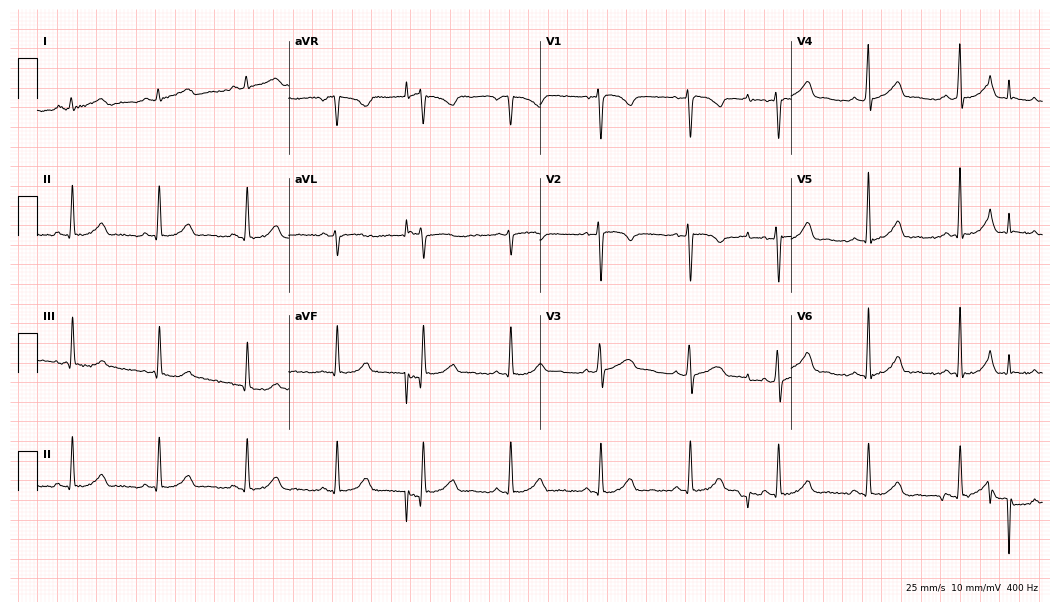
Standard 12-lead ECG recorded from a woman, 37 years old (10.2-second recording at 400 Hz). Read as a normal ECG.